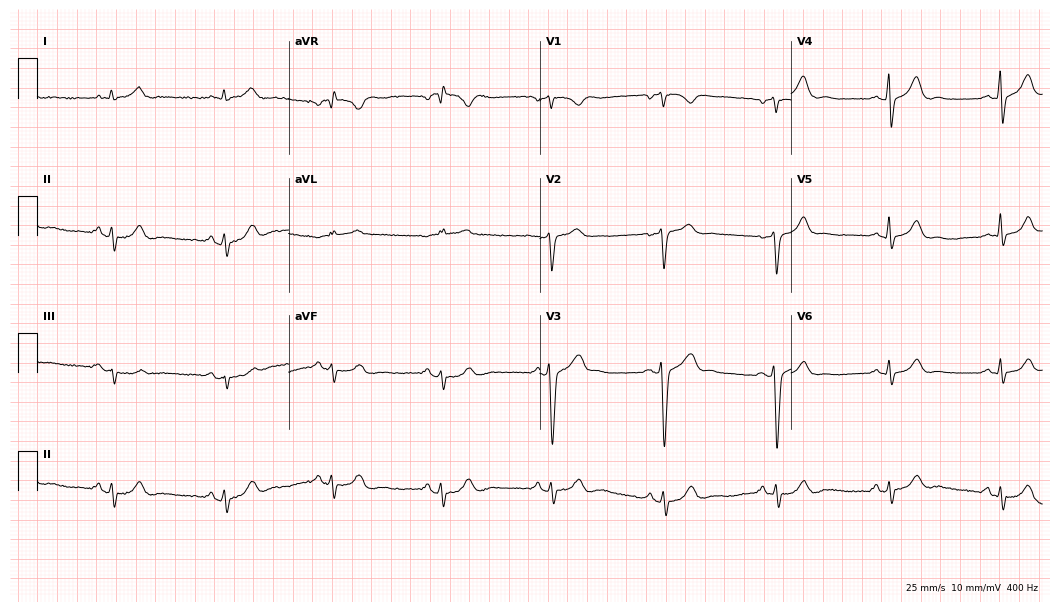
ECG (10.2-second recording at 400 Hz) — a male, 48 years old. Labelled as a normal ECG.